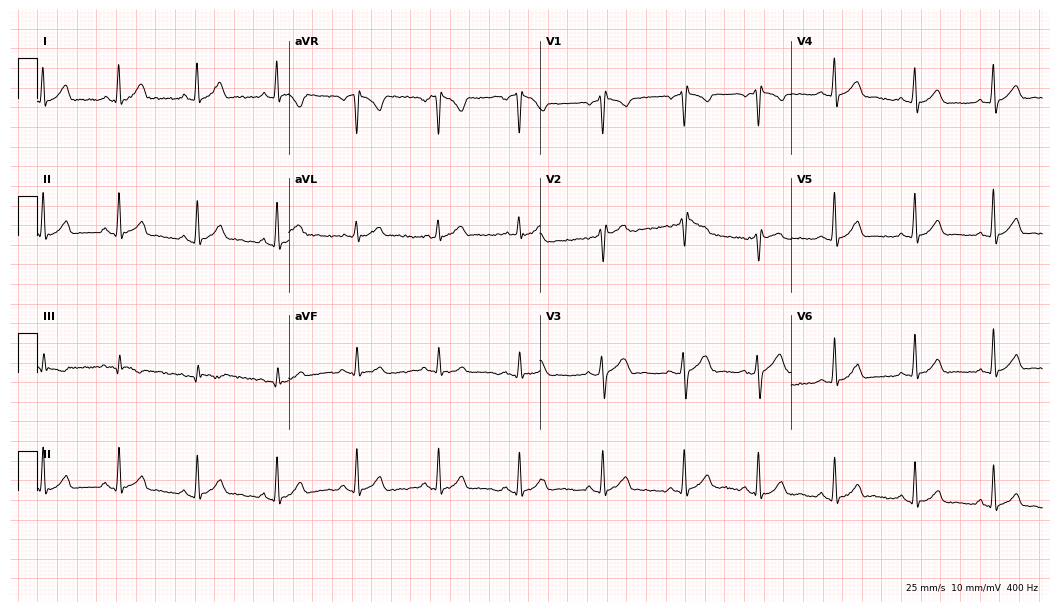
12-lead ECG from a female patient, 41 years old. Labelled as a normal ECG.